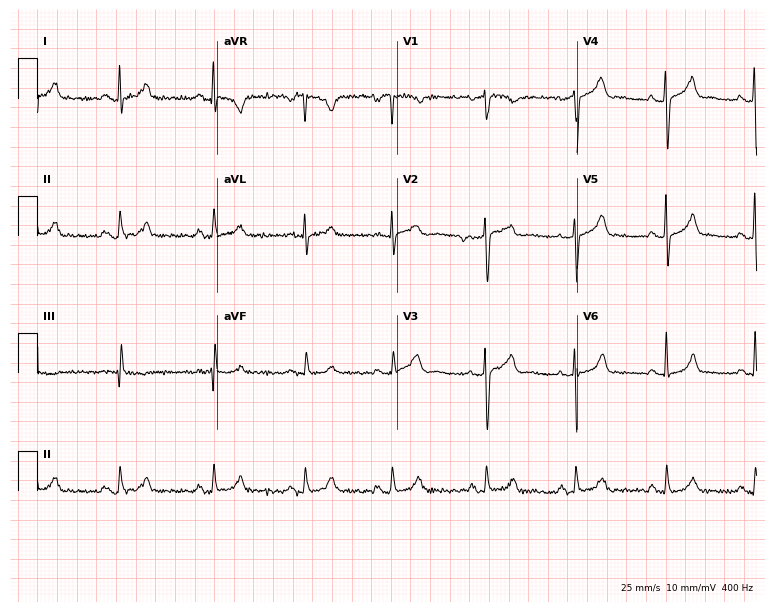
Resting 12-lead electrocardiogram (7.3-second recording at 400 Hz). Patient: a 26-year-old woman. Read as a normal ECG.